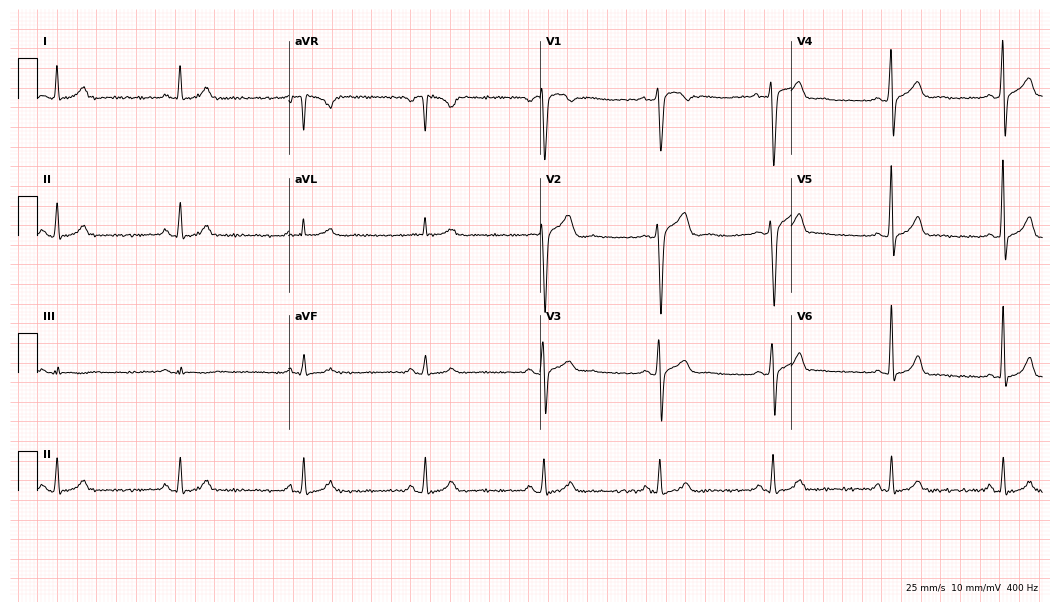
Standard 12-lead ECG recorded from a male patient, 35 years old. The tracing shows sinus bradycardia (a sinus rate of 50 beats per minute or less).